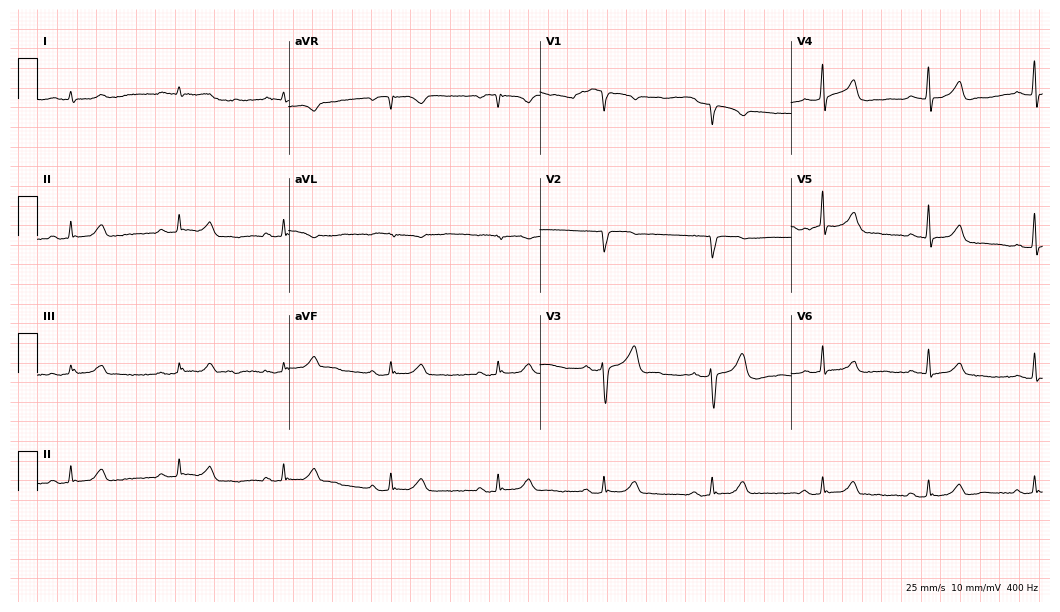
ECG — a 52-year-old male patient. Labelled as a normal ECG.